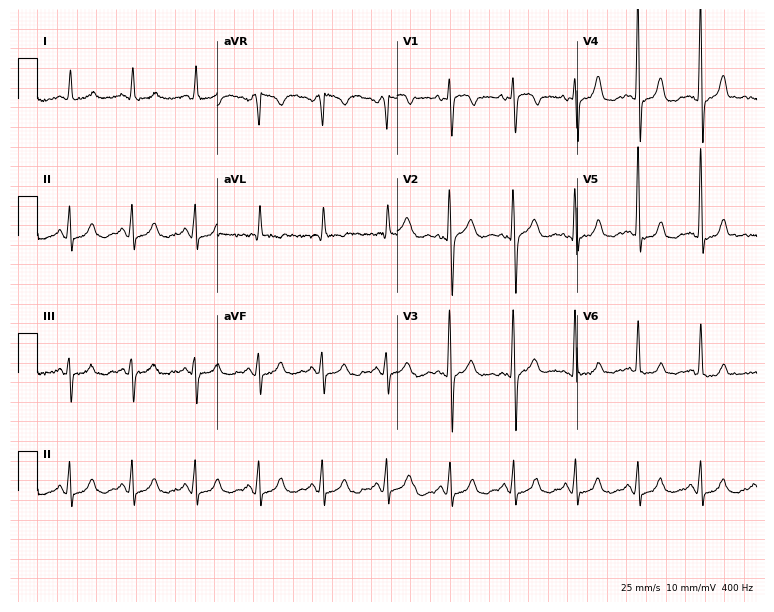
ECG — a 61-year-old female. Screened for six findings — first-degree AV block, right bundle branch block, left bundle branch block, sinus bradycardia, atrial fibrillation, sinus tachycardia — none is recorded.